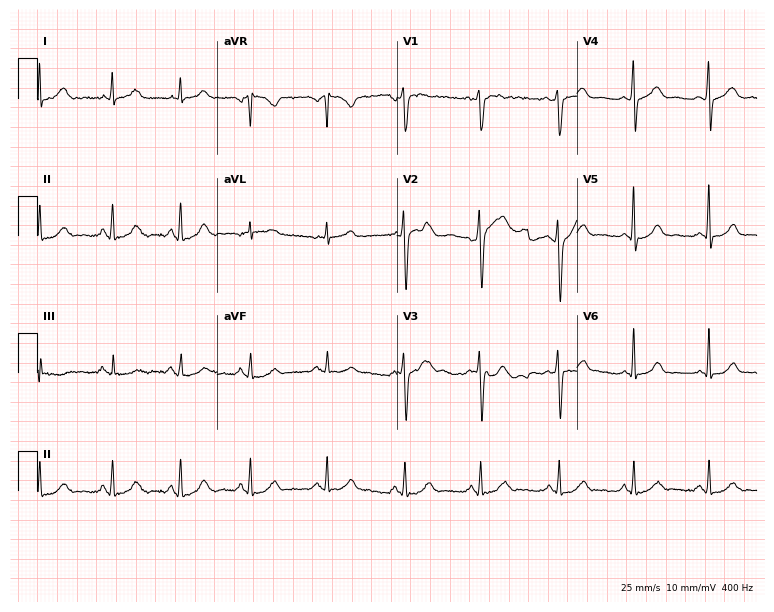
ECG — a female, 40 years old. Screened for six findings — first-degree AV block, right bundle branch block, left bundle branch block, sinus bradycardia, atrial fibrillation, sinus tachycardia — none is recorded. Only these six findings were labelled.